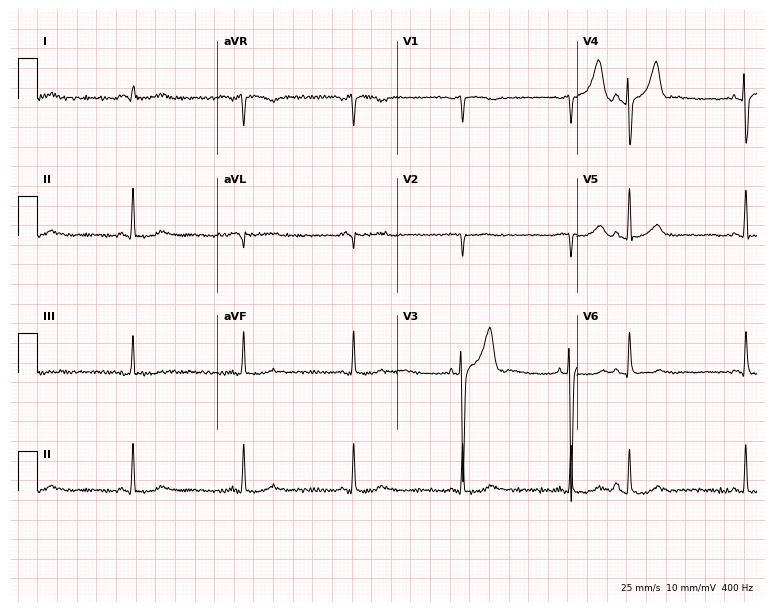
Electrocardiogram (7.3-second recording at 400 Hz), a 48-year-old male. Of the six screened findings (first-degree AV block, right bundle branch block, left bundle branch block, sinus bradycardia, atrial fibrillation, sinus tachycardia), none is recorded.